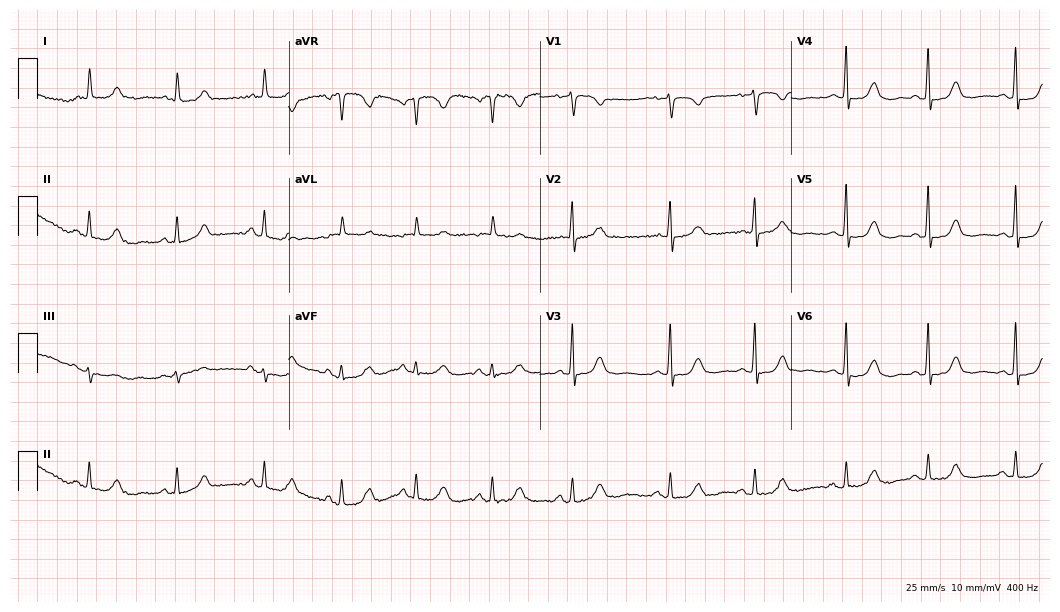
Resting 12-lead electrocardiogram (10.2-second recording at 400 Hz). Patient: a 75-year-old female. None of these six findings is recorded: first-degree AV block, right bundle branch block, left bundle branch block, sinus bradycardia, atrial fibrillation, sinus tachycardia.